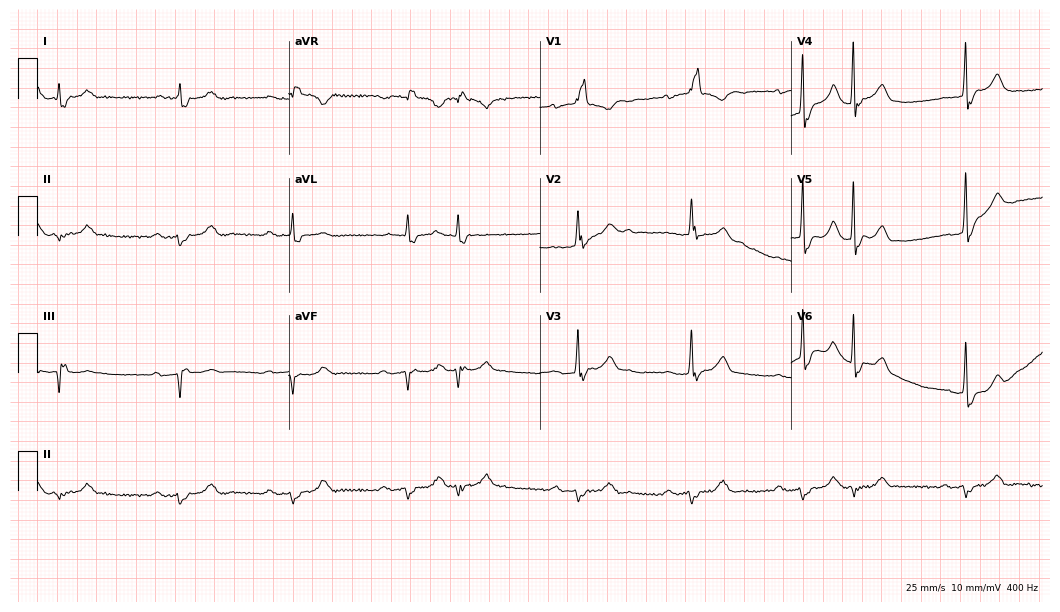
Electrocardiogram (10.2-second recording at 400 Hz), a female patient, 80 years old. Interpretation includes first-degree AV block, right bundle branch block.